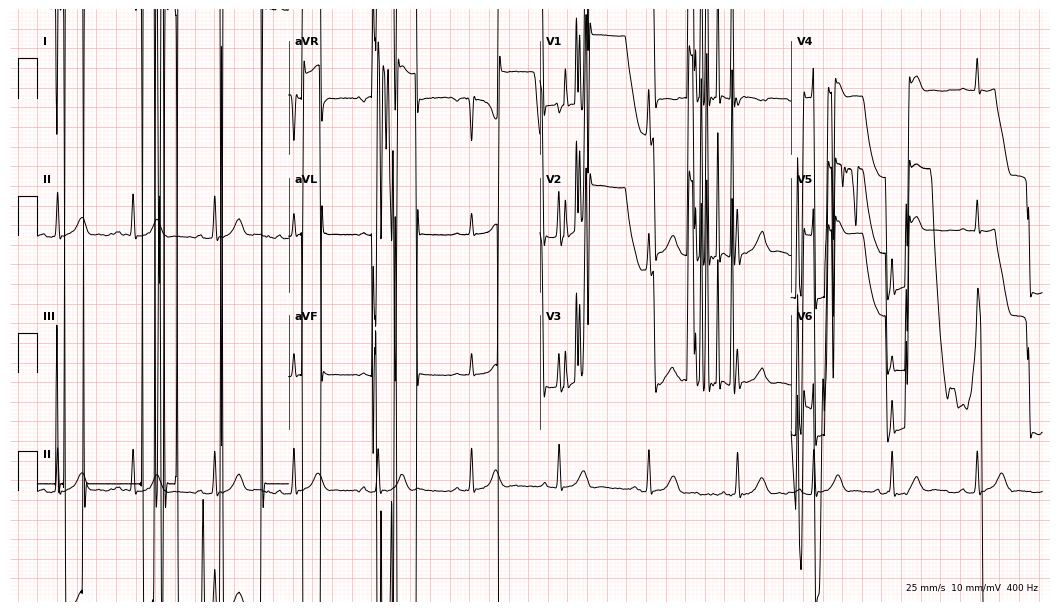
Electrocardiogram, a woman, 17 years old. Of the six screened findings (first-degree AV block, right bundle branch block, left bundle branch block, sinus bradycardia, atrial fibrillation, sinus tachycardia), none is recorded. Findings outside these six are not listed.